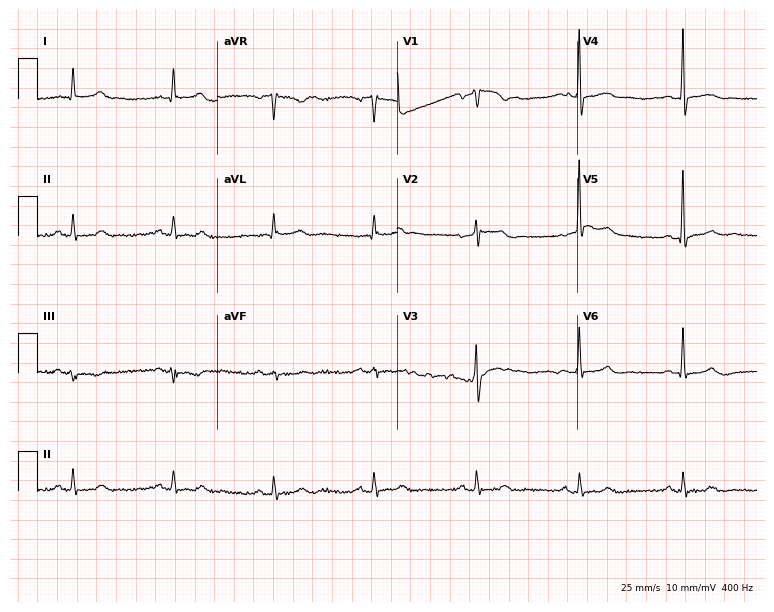
ECG (7.3-second recording at 400 Hz) — a 63-year-old male. Screened for six findings — first-degree AV block, right bundle branch block (RBBB), left bundle branch block (LBBB), sinus bradycardia, atrial fibrillation (AF), sinus tachycardia — none is recorded. Other findings, if any, are not listed.